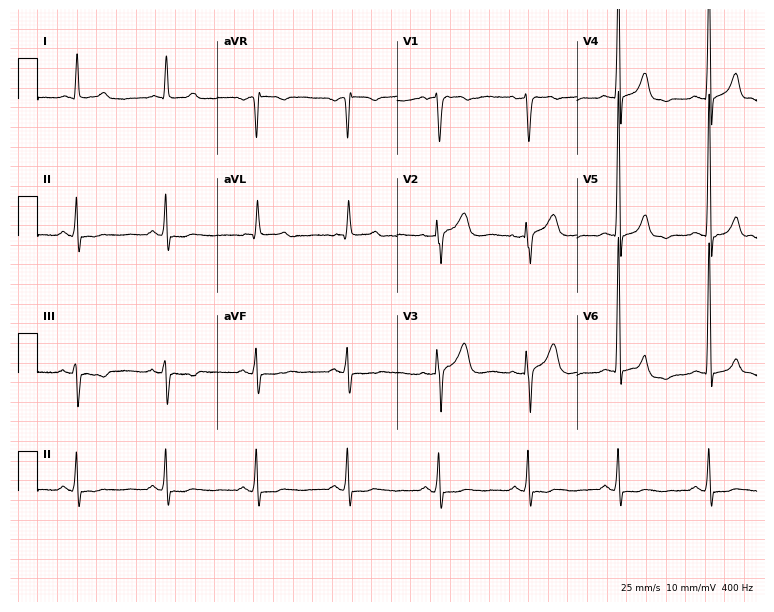
Resting 12-lead electrocardiogram. Patient: a man, 80 years old. None of these six findings is recorded: first-degree AV block, right bundle branch block (RBBB), left bundle branch block (LBBB), sinus bradycardia, atrial fibrillation (AF), sinus tachycardia.